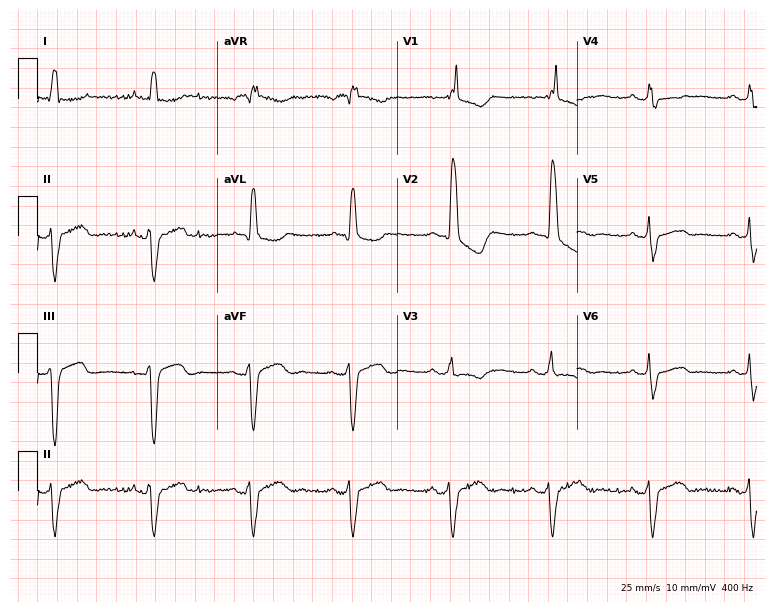
ECG (7.3-second recording at 400 Hz) — an 84-year-old female. Findings include right bundle branch block.